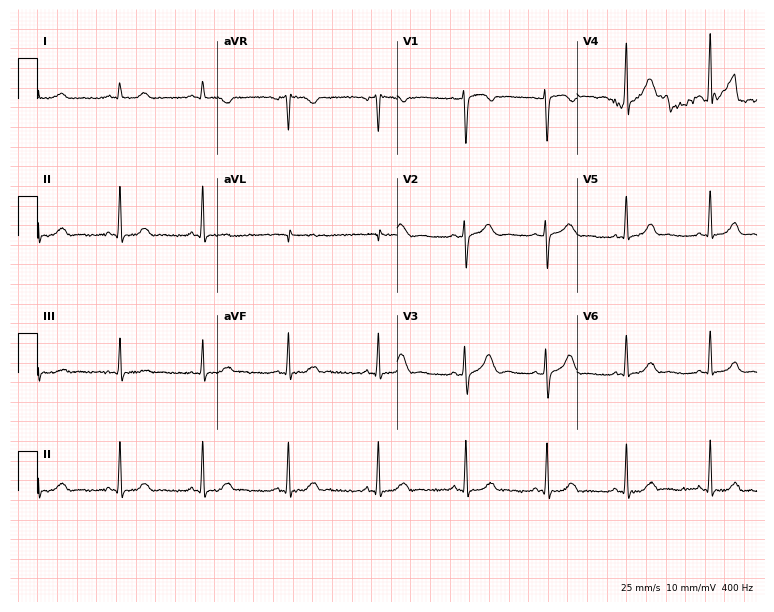
Standard 12-lead ECG recorded from a woman, 29 years old (7.3-second recording at 400 Hz). Read as a normal ECG.